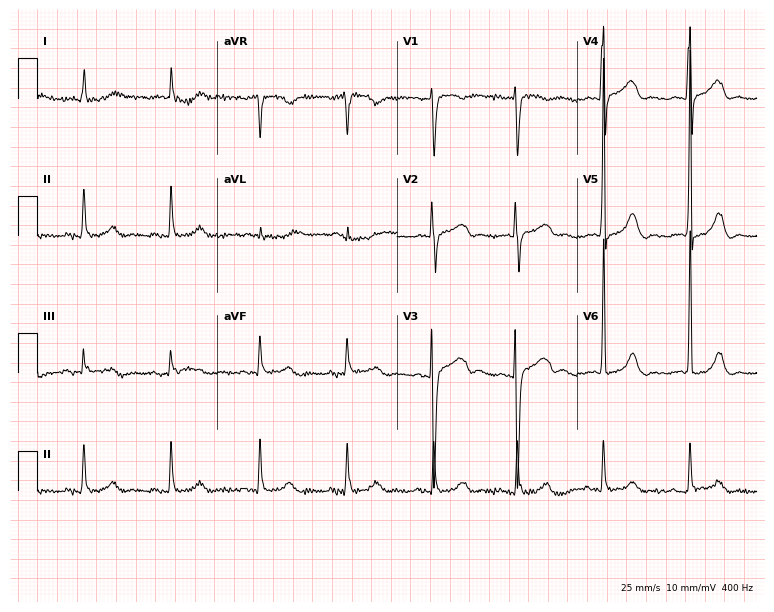
Standard 12-lead ECG recorded from a female, 80 years old (7.3-second recording at 400 Hz). Read as a normal ECG.